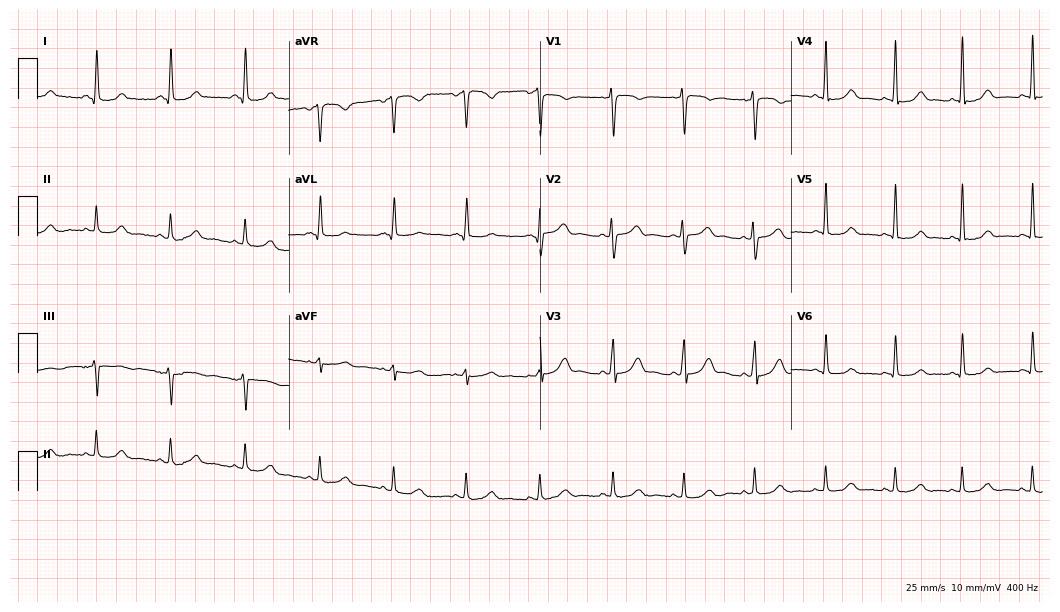
ECG — a female, 41 years old. Labelled as a normal ECG.